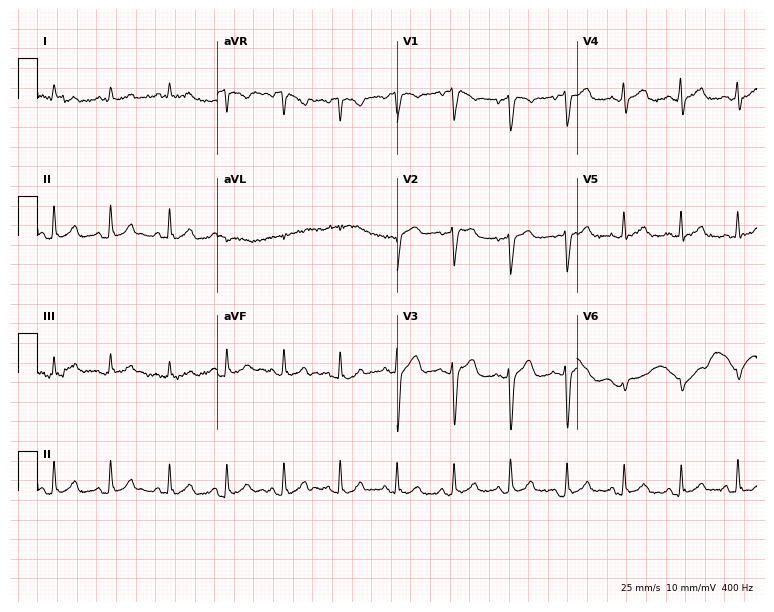
12-lead ECG from a 46-year-old man (7.3-second recording at 400 Hz). Shows sinus tachycardia (a sinus rate of 100 beats per minute or more).